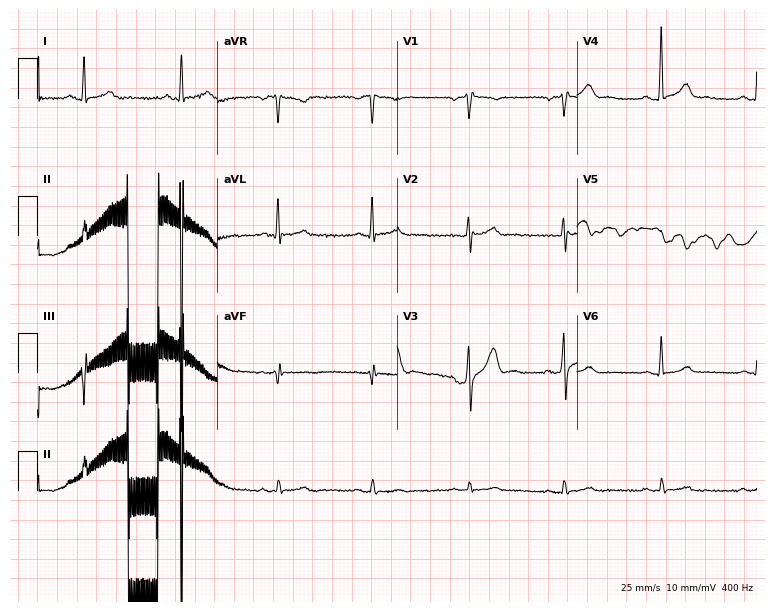
12-lead ECG from a 47-year-old man (7.3-second recording at 400 Hz). Recorded interpretation: within normal limits.